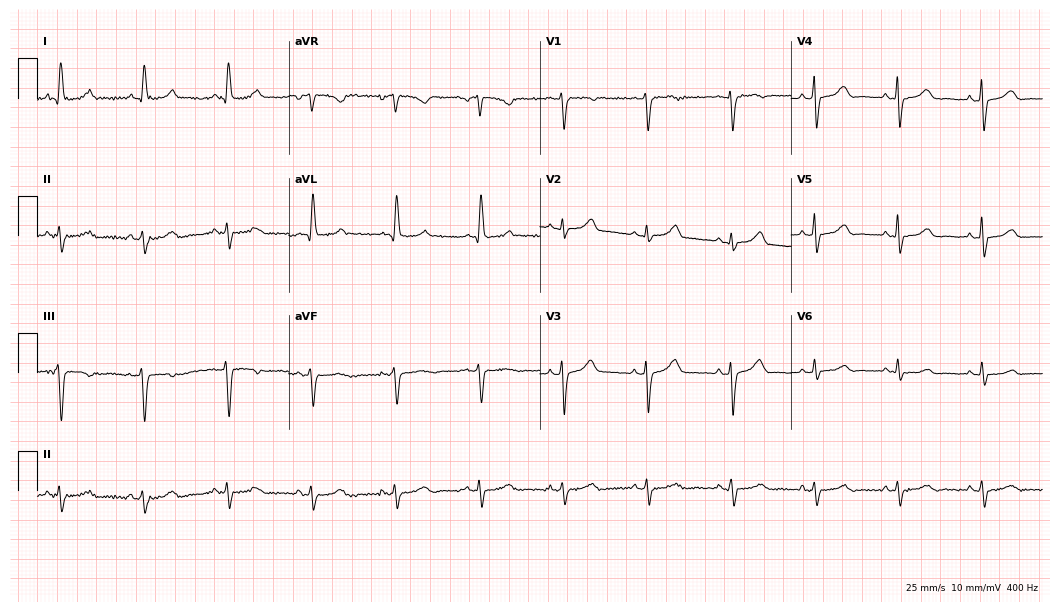
Resting 12-lead electrocardiogram. Patient: a 66-year-old female. None of these six findings is recorded: first-degree AV block, right bundle branch block, left bundle branch block, sinus bradycardia, atrial fibrillation, sinus tachycardia. Other findings, if any, are not listed.